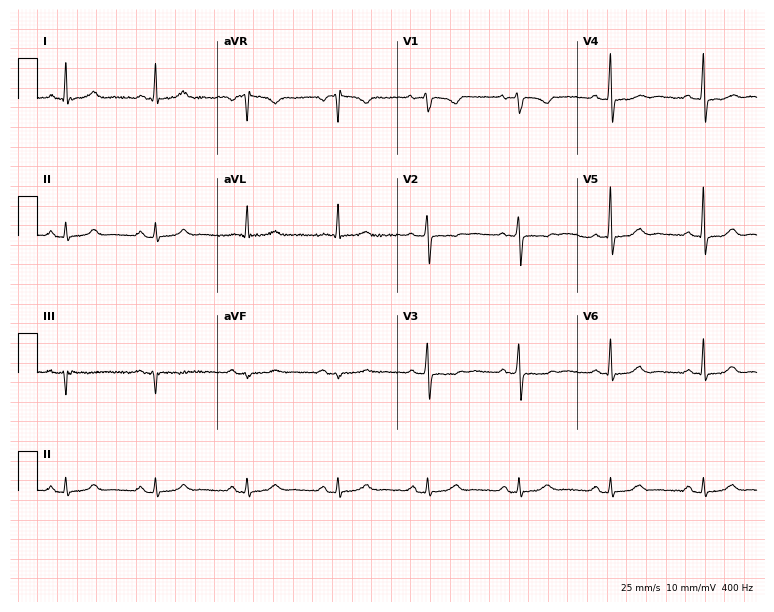
Standard 12-lead ECG recorded from a 71-year-old female. None of these six findings is recorded: first-degree AV block, right bundle branch block, left bundle branch block, sinus bradycardia, atrial fibrillation, sinus tachycardia.